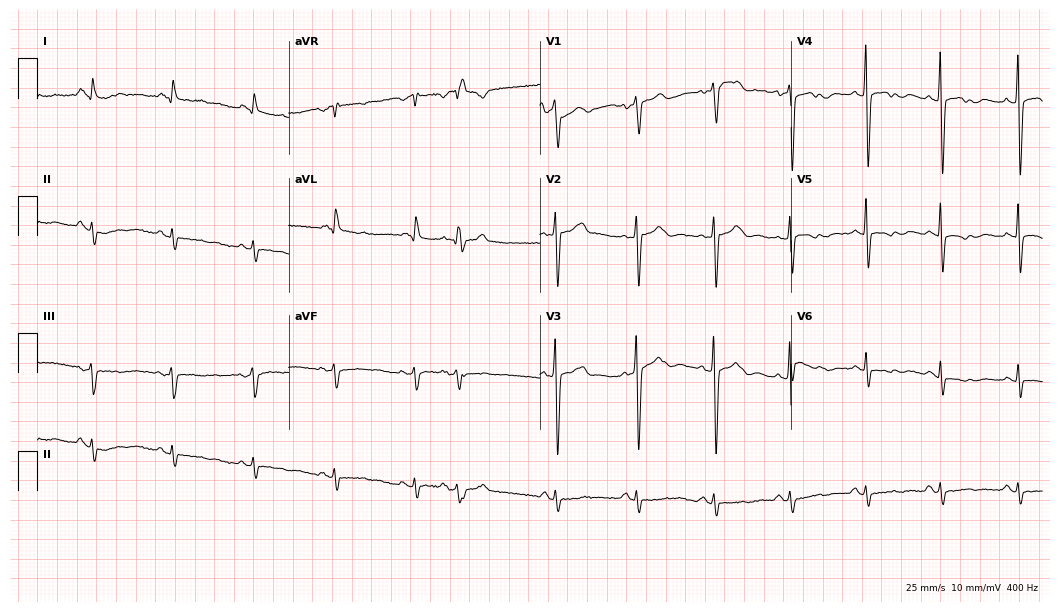
Electrocardiogram, a 67-year-old male. Of the six screened findings (first-degree AV block, right bundle branch block, left bundle branch block, sinus bradycardia, atrial fibrillation, sinus tachycardia), none is recorded. Only these six findings were labelled.